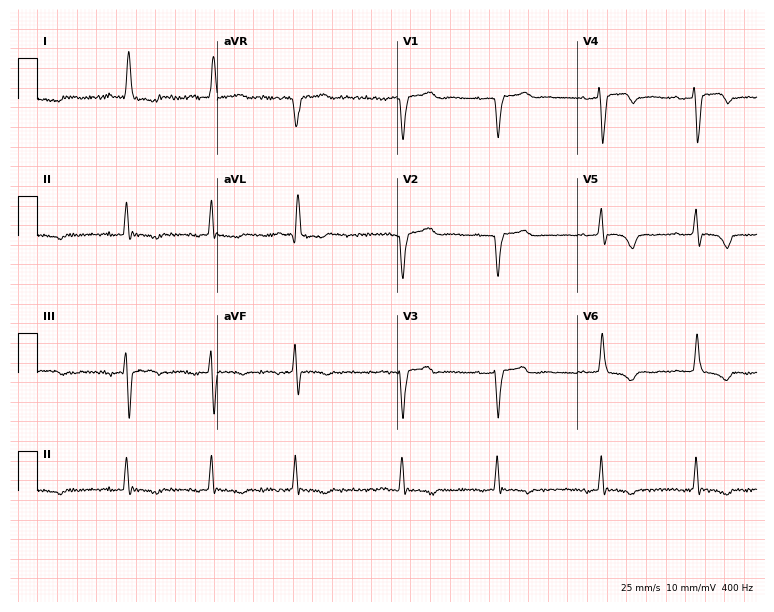
Resting 12-lead electrocardiogram. Patient: a female, 73 years old. The tracing shows left bundle branch block, atrial fibrillation.